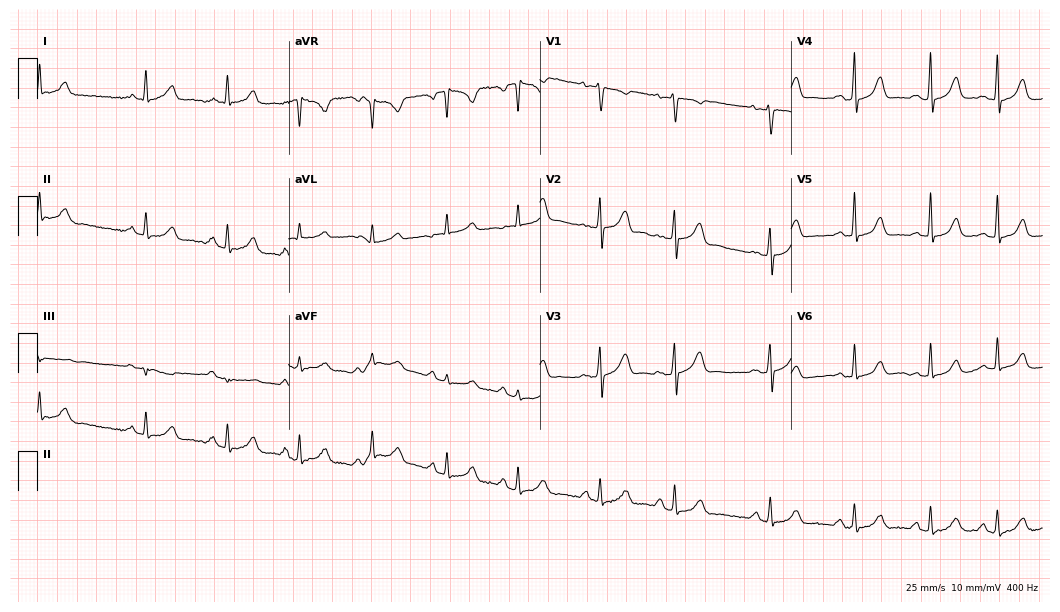
Standard 12-lead ECG recorded from a 27-year-old woman (10.2-second recording at 400 Hz). None of these six findings is recorded: first-degree AV block, right bundle branch block, left bundle branch block, sinus bradycardia, atrial fibrillation, sinus tachycardia.